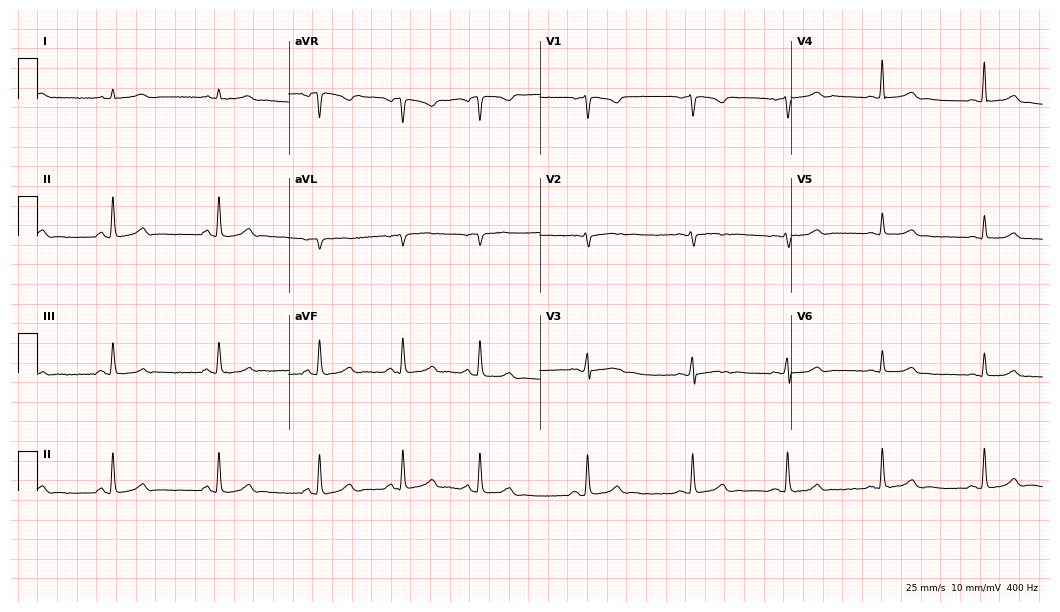
ECG (10.2-second recording at 400 Hz) — a female, 23 years old. Labelled as a normal ECG.